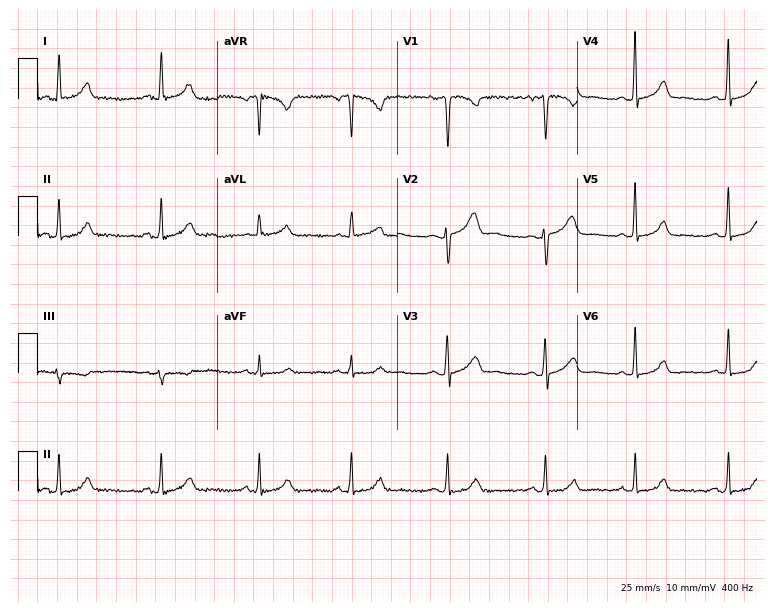
Standard 12-lead ECG recorded from a woman, 41 years old. Read as a normal ECG.